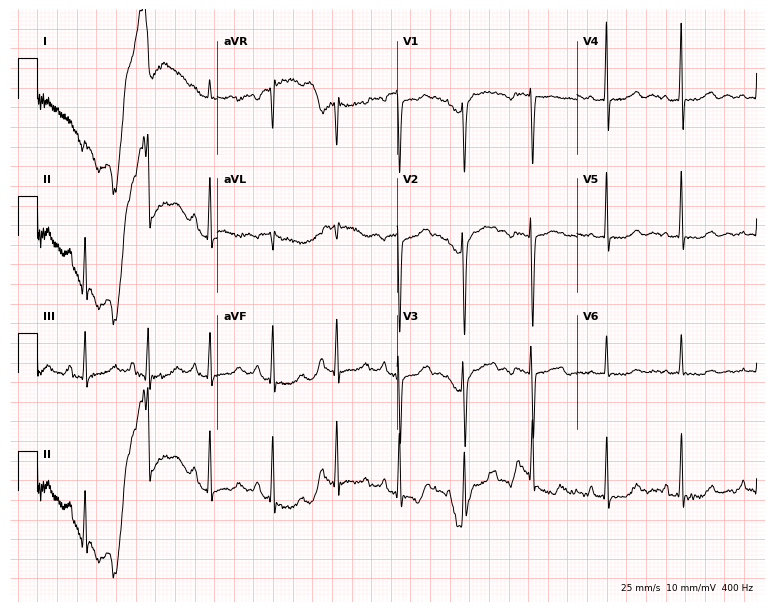
Electrocardiogram (7.3-second recording at 400 Hz), a female, 66 years old. Of the six screened findings (first-degree AV block, right bundle branch block (RBBB), left bundle branch block (LBBB), sinus bradycardia, atrial fibrillation (AF), sinus tachycardia), none is recorded. Findings outside these six are not listed.